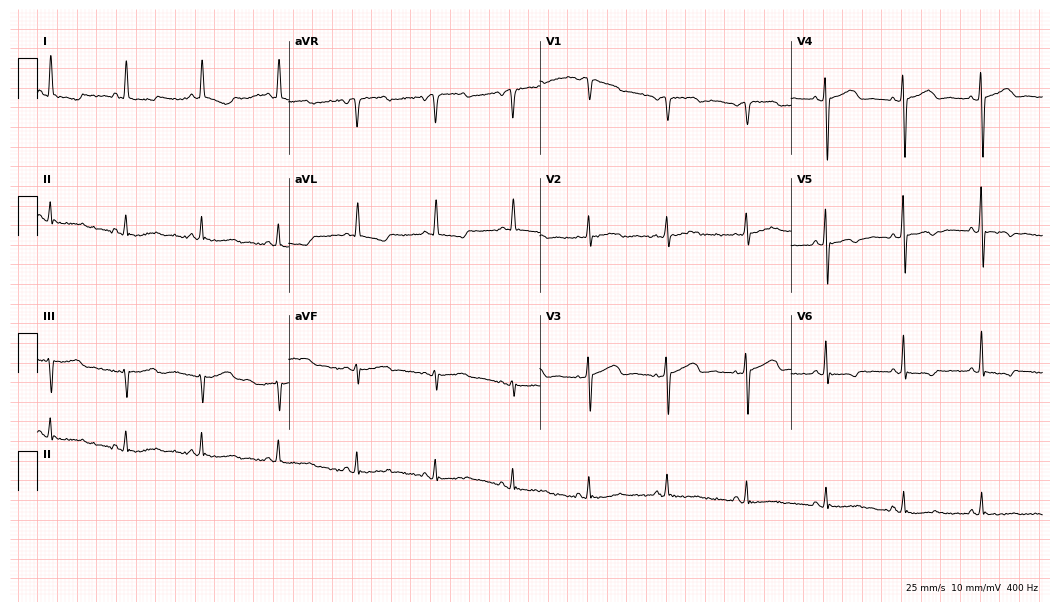
ECG — a woman, 68 years old. Screened for six findings — first-degree AV block, right bundle branch block, left bundle branch block, sinus bradycardia, atrial fibrillation, sinus tachycardia — none is recorded. Other findings, if any, are not listed.